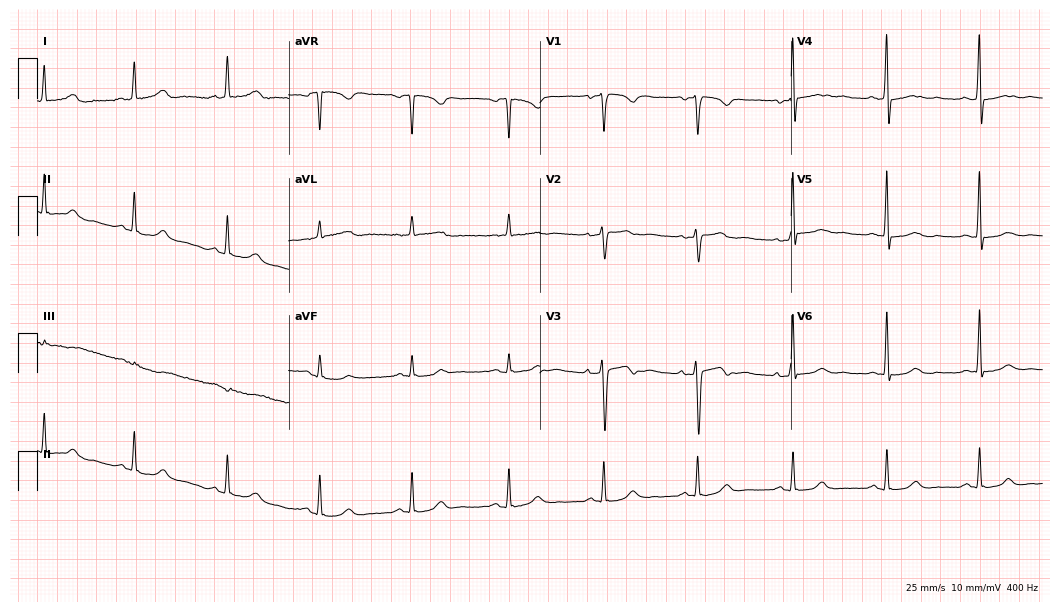
Electrocardiogram (10.2-second recording at 400 Hz), a female, 38 years old. Overall reading on record: normal ECG.